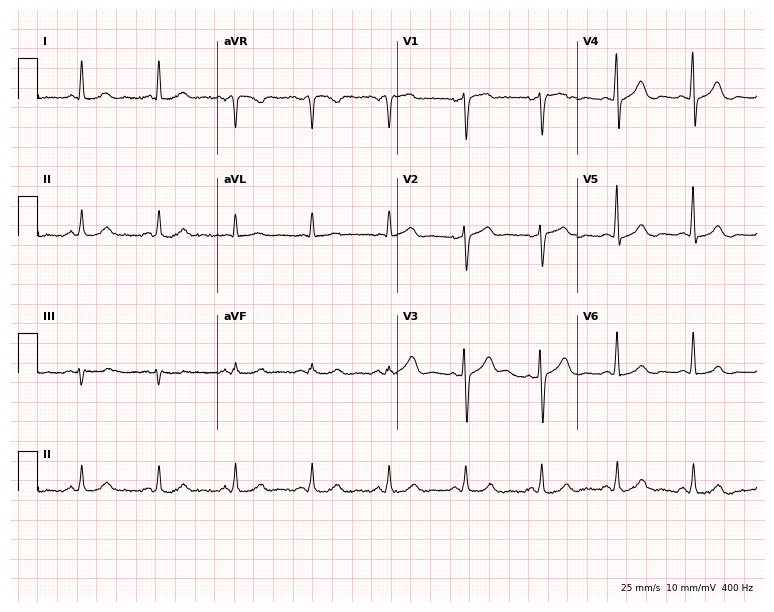
12-lead ECG from a female, 63 years old (7.3-second recording at 400 Hz). Recorded interpretation: within normal limits.